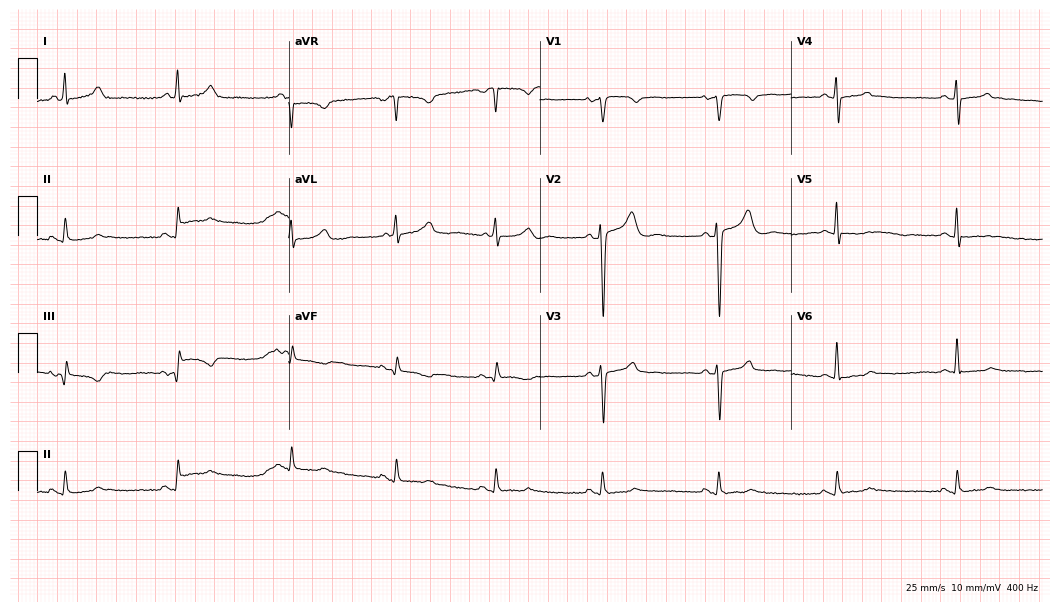
12-lead ECG (10.2-second recording at 400 Hz) from a male, 58 years old. Labelled as a normal ECG.